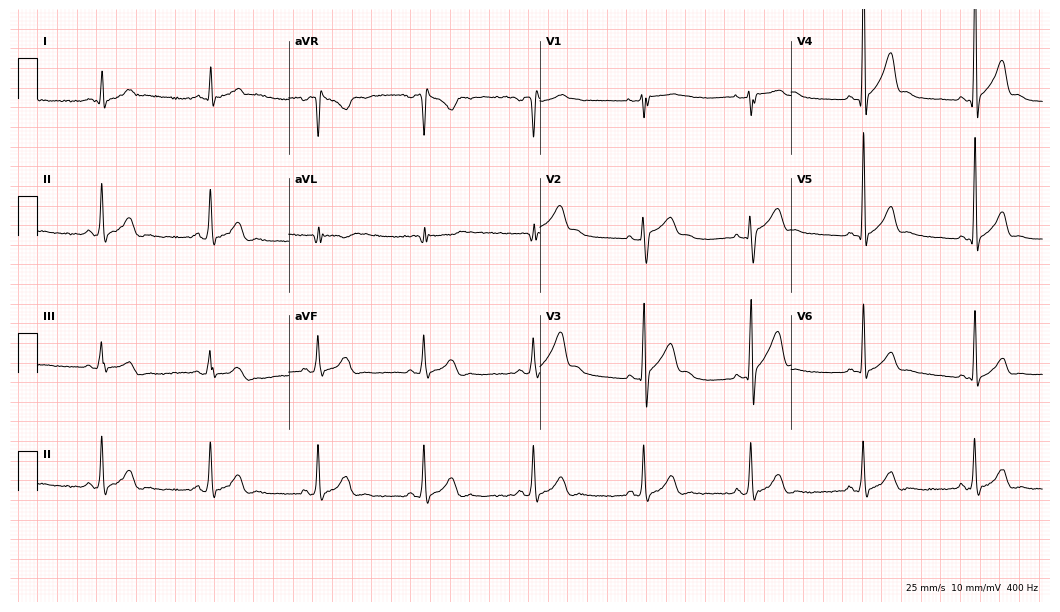
12-lead ECG from a 52-year-old male patient. Labelled as a normal ECG.